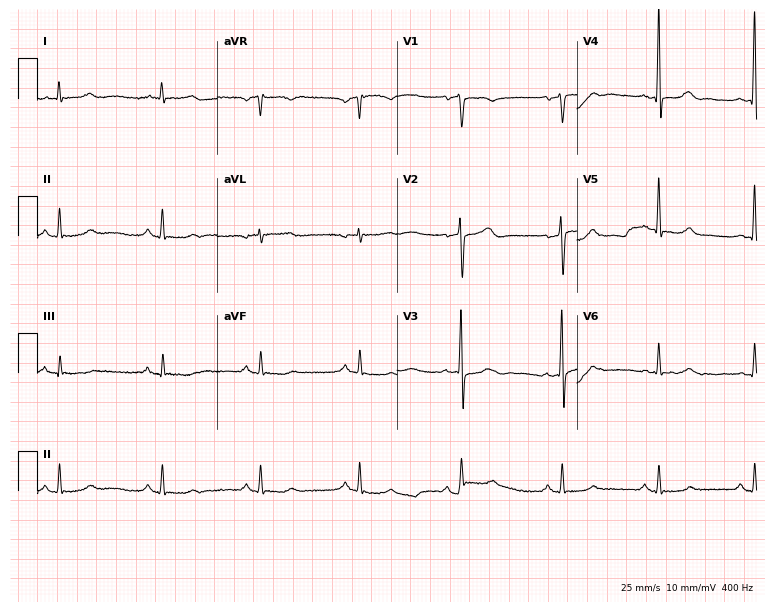
Standard 12-lead ECG recorded from a male patient, 72 years old. None of these six findings is recorded: first-degree AV block, right bundle branch block, left bundle branch block, sinus bradycardia, atrial fibrillation, sinus tachycardia.